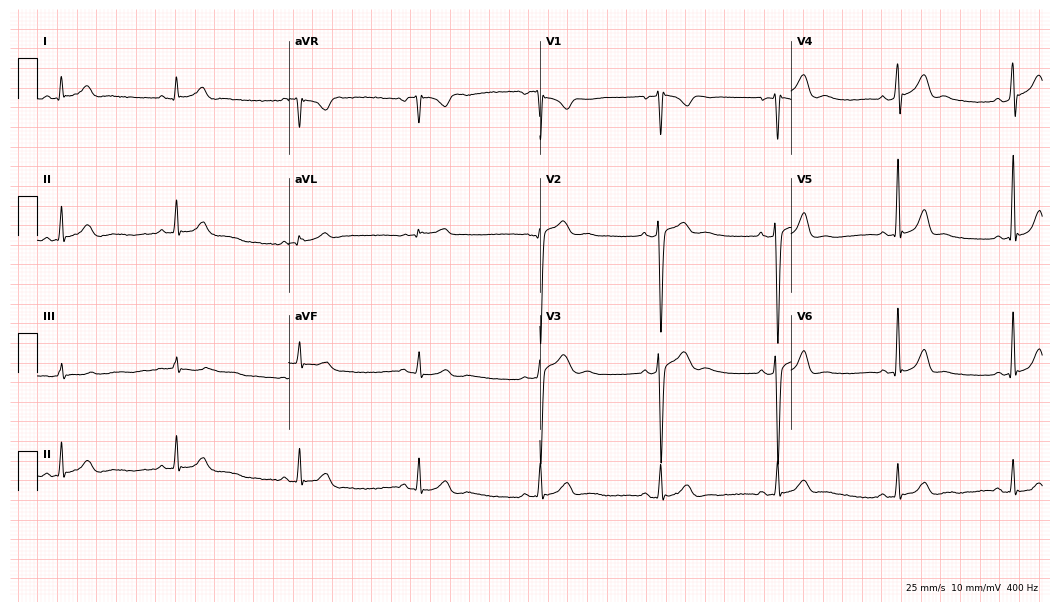
Electrocardiogram, a male, 40 years old. Interpretation includes sinus bradycardia (a sinus rate of 50 beats per minute or less).